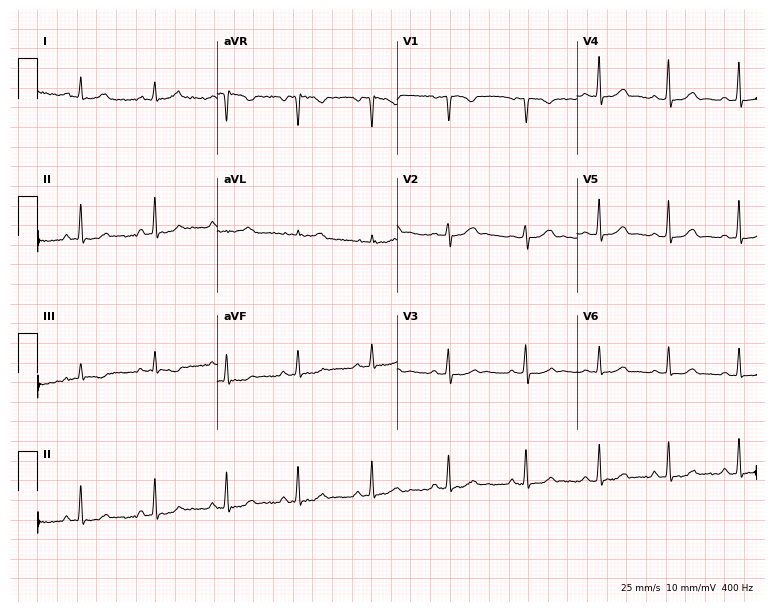
12-lead ECG from a 29-year-old female patient. No first-degree AV block, right bundle branch block (RBBB), left bundle branch block (LBBB), sinus bradycardia, atrial fibrillation (AF) or sinus tachycardia recorded for this tracing. Only these six findings were labelled.